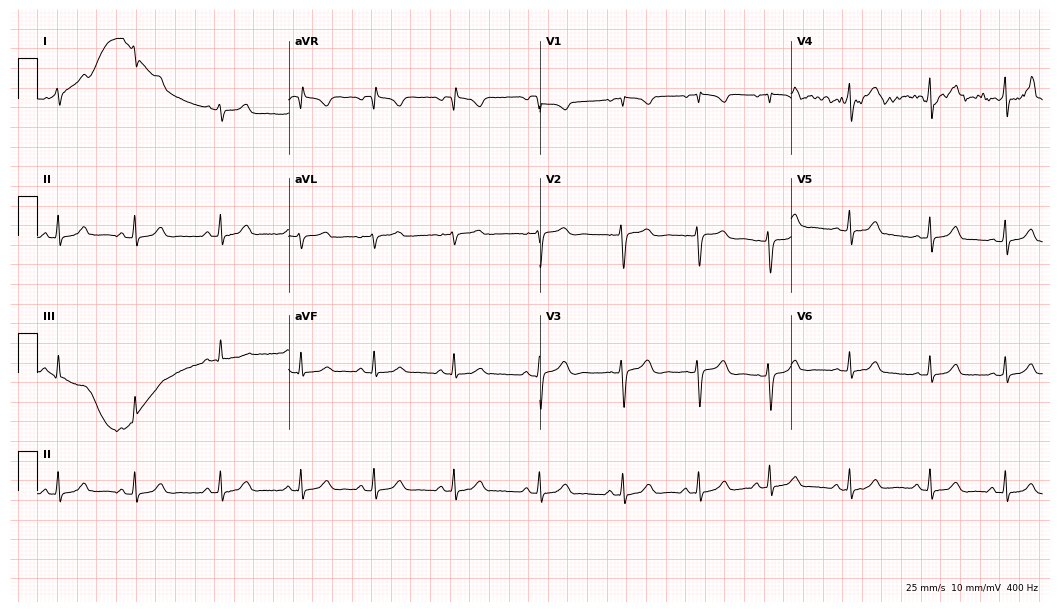
Standard 12-lead ECG recorded from a female, 17 years old. None of these six findings is recorded: first-degree AV block, right bundle branch block, left bundle branch block, sinus bradycardia, atrial fibrillation, sinus tachycardia. Only these six findings were labelled.